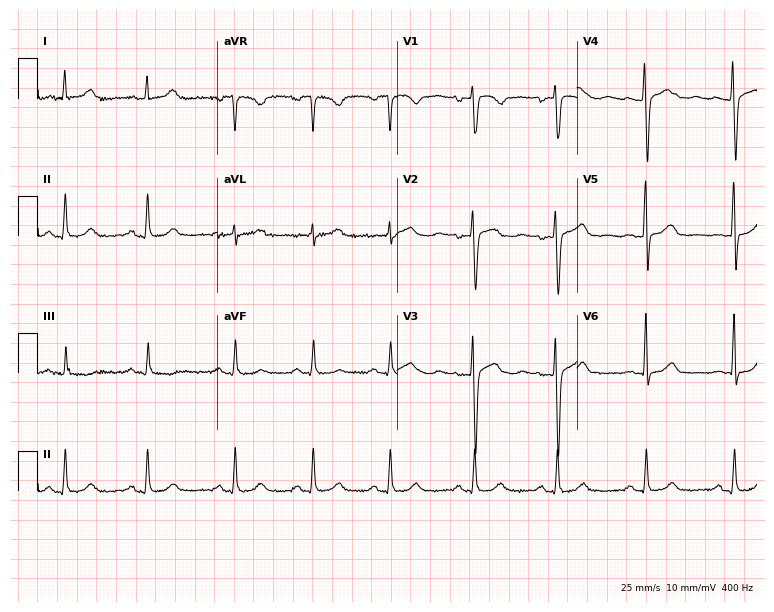
Resting 12-lead electrocardiogram (7.3-second recording at 400 Hz). Patient: a 45-year-old woman. None of these six findings is recorded: first-degree AV block, right bundle branch block, left bundle branch block, sinus bradycardia, atrial fibrillation, sinus tachycardia.